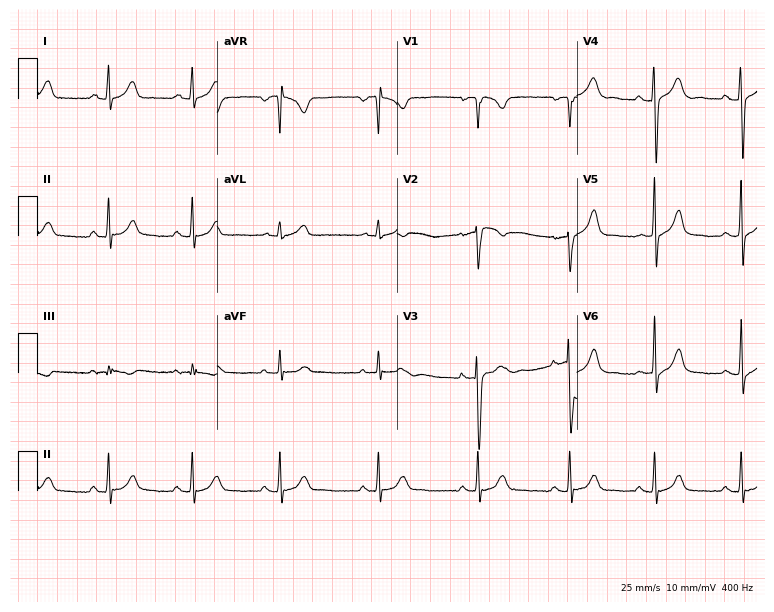
Resting 12-lead electrocardiogram. Patient: a 27-year-old woman. None of these six findings is recorded: first-degree AV block, right bundle branch block, left bundle branch block, sinus bradycardia, atrial fibrillation, sinus tachycardia.